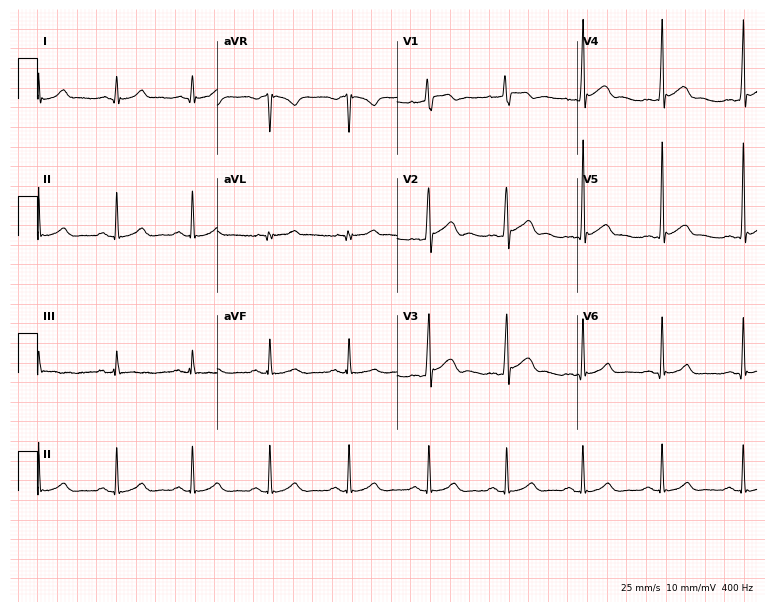
Electrocardiogram (7.3-second recording at 400 Hz), a man, 21 years old. Overall reading on record: normal ECG.